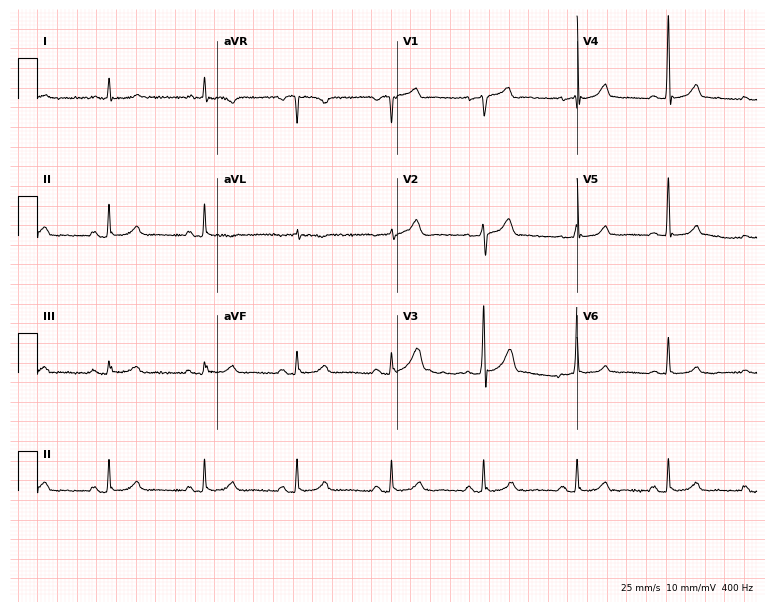
ECG — a 60-year-old male. Screened for six findings — first-degree AV block, right bundle branch block, left bundle branch block, sinus bradycardia, atrial fibrillation, sinus tachycardia — none is recorded. Findings outside these six are not listed.